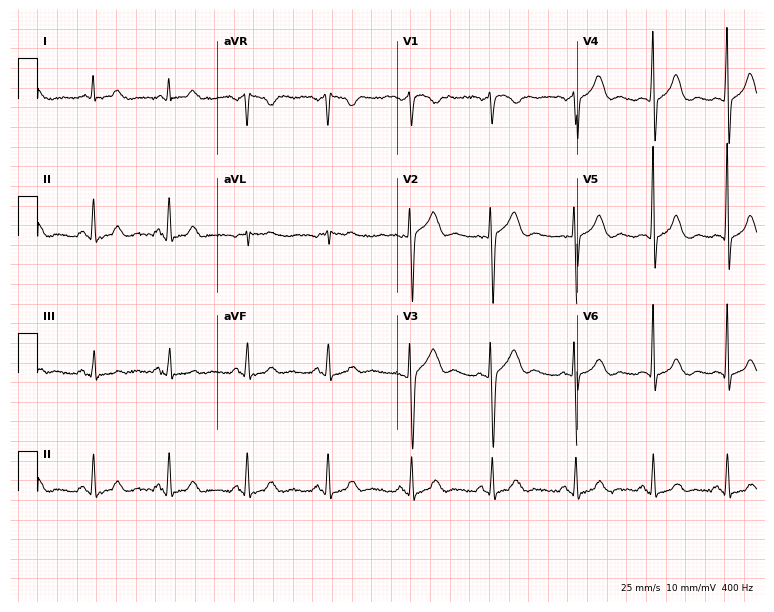
ECG (7.3-second recording at 400 Hz) — a 63-year-old female. Labelled as a normal ECG.